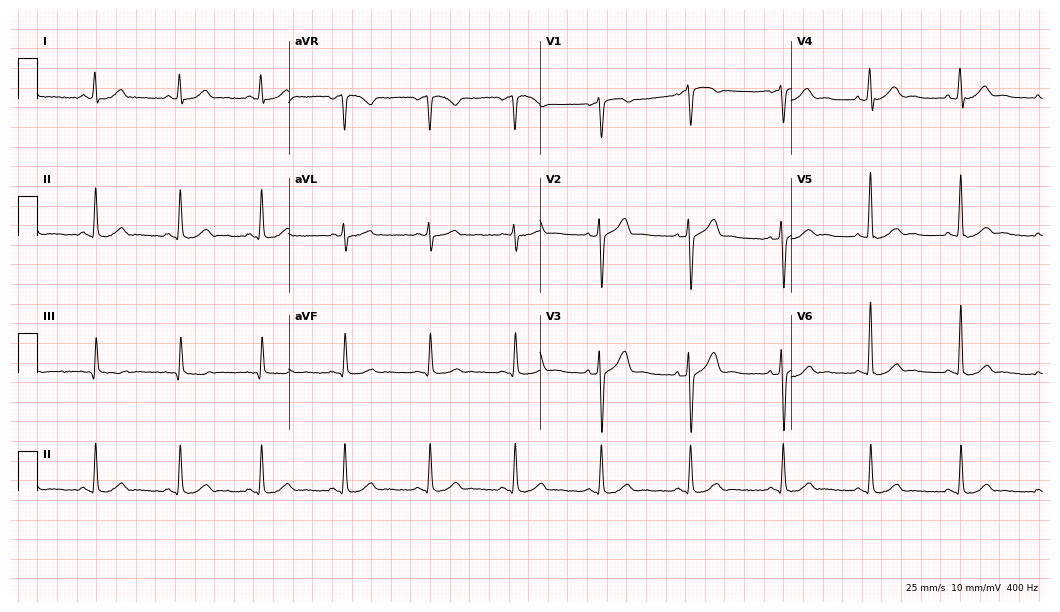
ECG (10.2-second recording at 400 Hz) — a 53-year-old male. Labelled as a normal ECG.